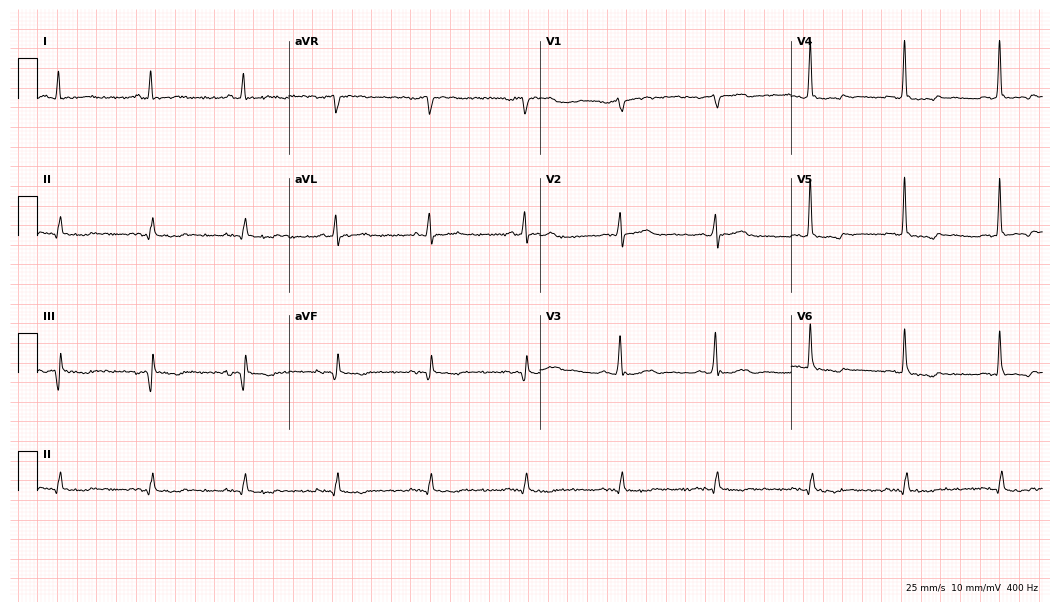
Resting 12-lead electrocardiogram (10.2-second recording at 400 Hz). Patient: a 64-year-old male. None of these six findings is recorded: first-degree AV block, right bundle branch block, left bundle branch block, sinus bradycardia, atrial fibrillation, sinus tachycardia. Only these six findings were labelled.